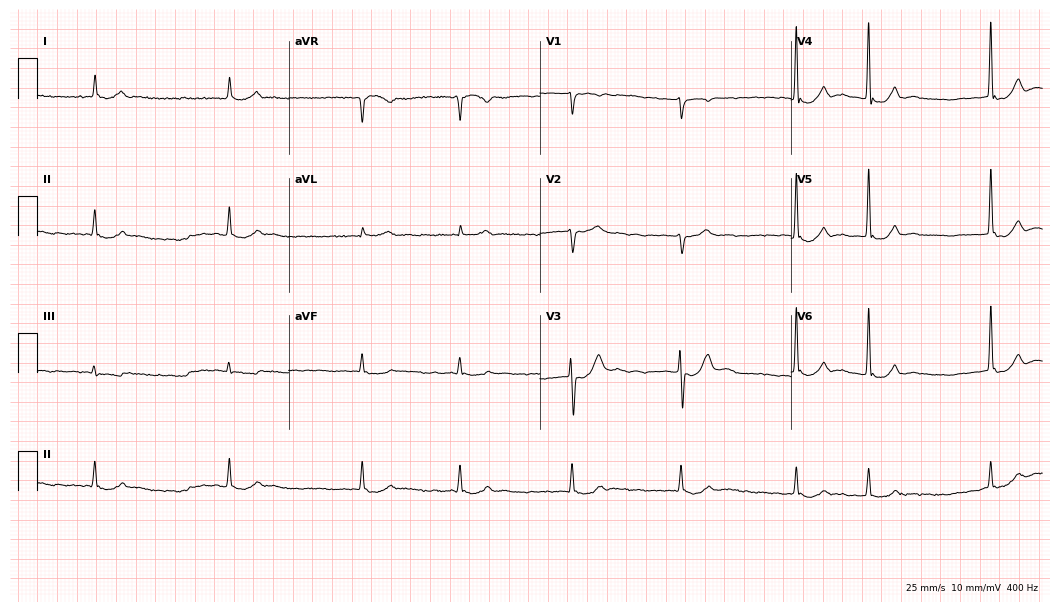
12-lead ECG from an 83-year-old woman (10.2-second recording at 400 Hz). Shows atrial fibrillation.